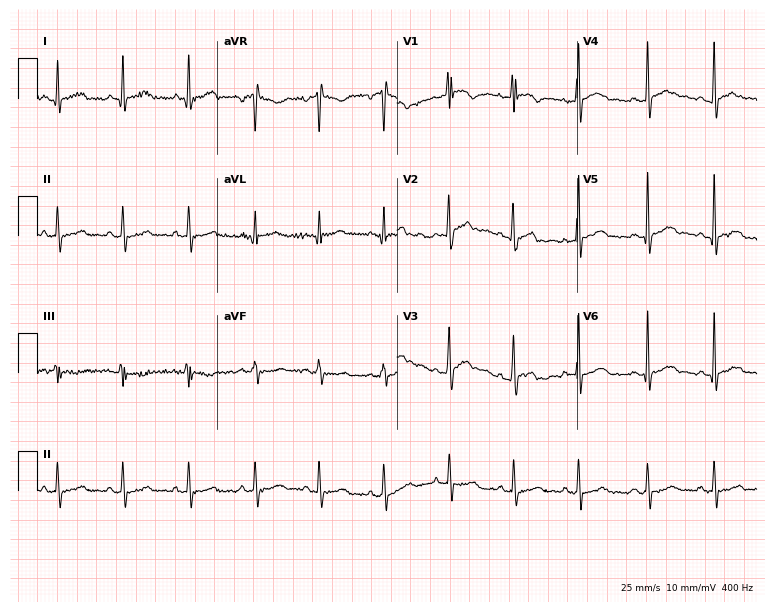
Electrocardiogram (7.3-second recording at 400 Hz), a male patient, 40 years old. Overall reading on record: normal ECG.